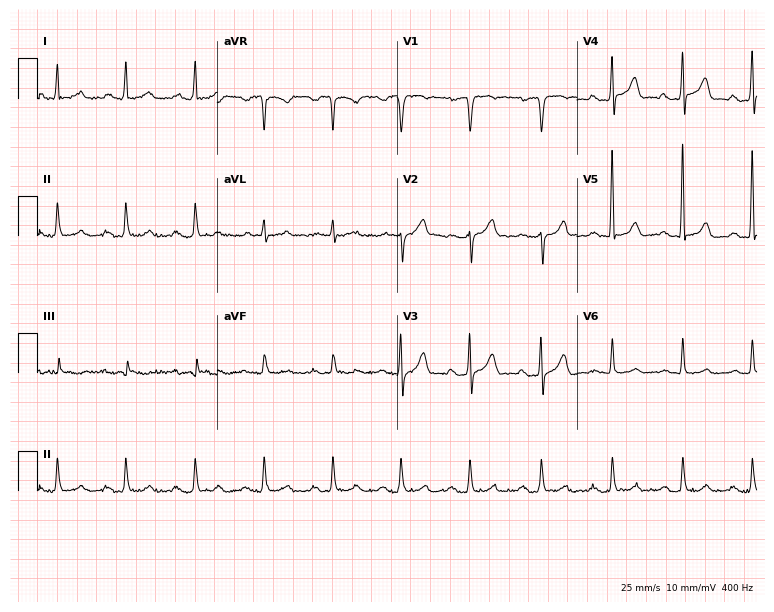
Resting 12-lead electrocardiogram (7.3-second recording at 400 Hz). Patient: an 83-year-old male. Read as a normal ECG.